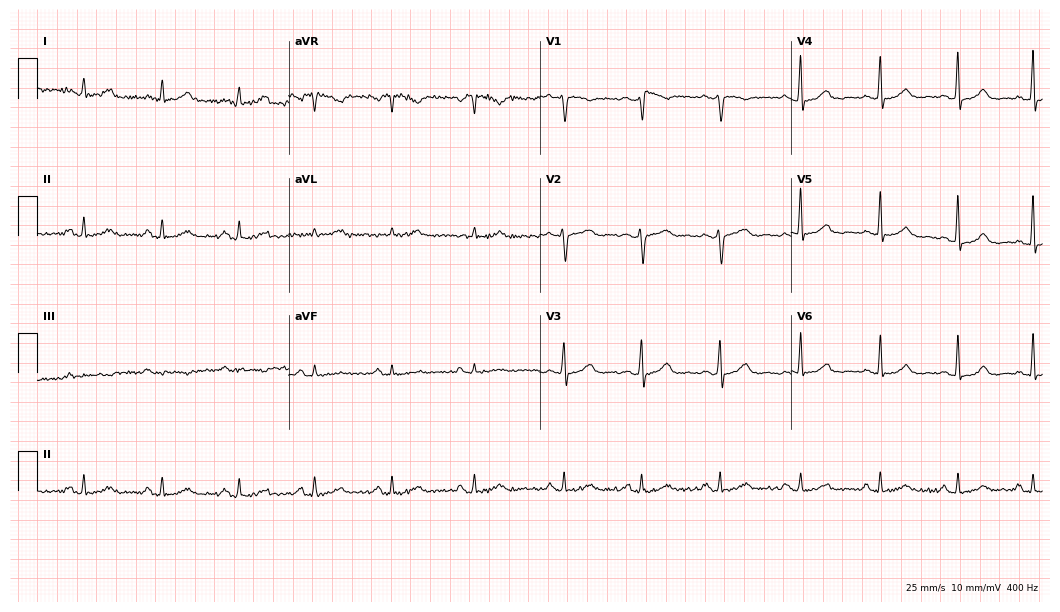
12-lead ECG from a 44-year-old woman. Recorded interpretation: within normal limits.